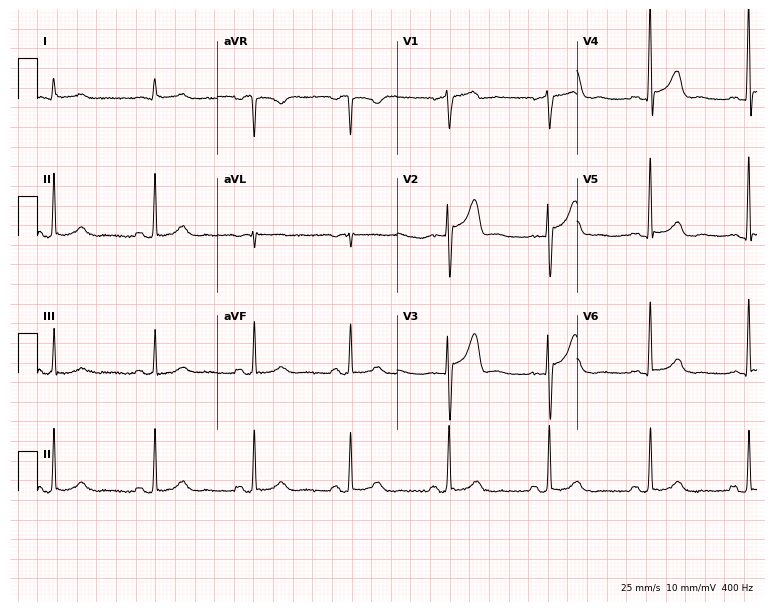
12-lead ECG from a 67-year-old male patient. No first-degree AV block, right bundle branch block, left bundle branch block, sinus bradycardia, atrial fibrillation or sinus tachycardia recorded for this tracing. Findings outside these six are not listed.